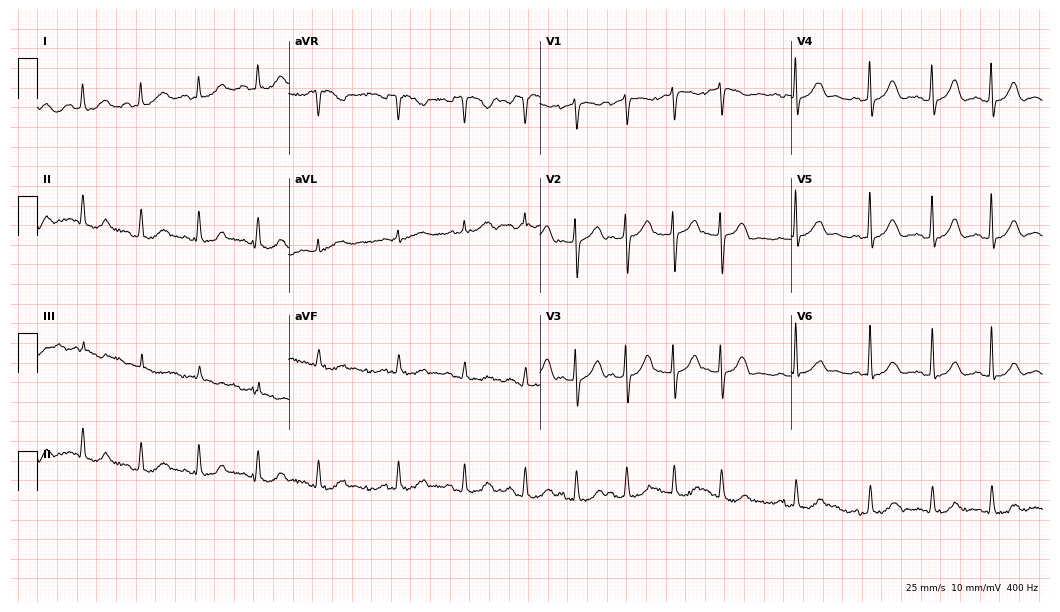
12-lead ECG from a woman, 83 years old (10.2-second recording at 400 Hz). Shows atrial fibrillation.